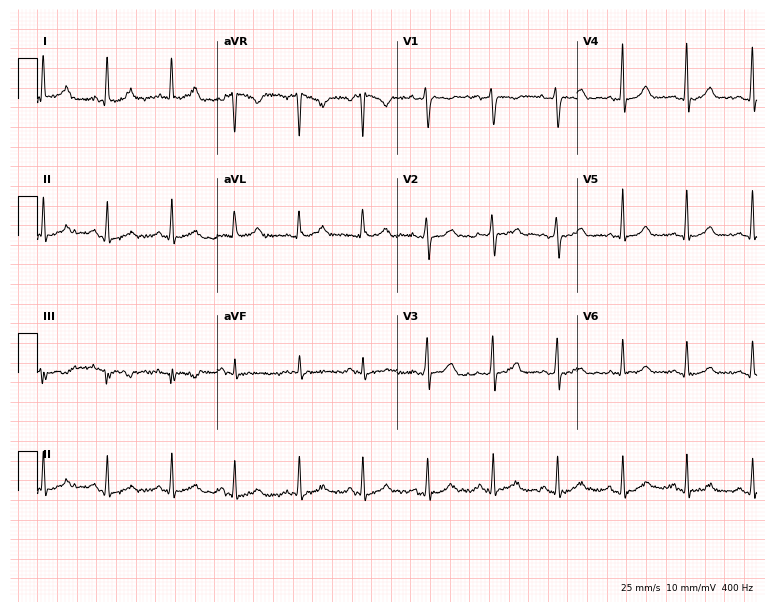
12-lead ECG from a woman, 32 years old (7.3-second recording at 400 Hz). No first-degree AV block, right bundle branch block, left bundle branch block, sinus bradycardia, atrial fibrillation or sinus tachycardia recorded for this tracing. Findings outside these six are not listed.